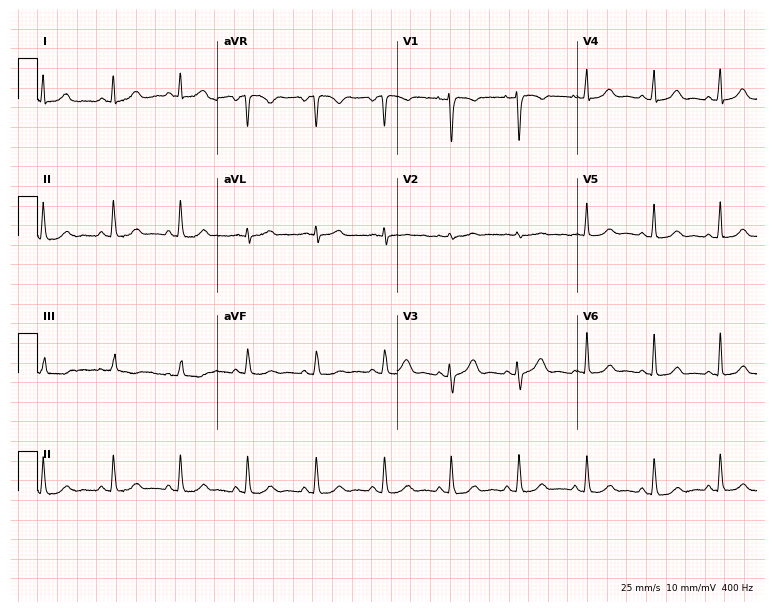
Resting 12-lead electrocardiogram. Patient: a female, 34 years old. Read as a normal ECG.